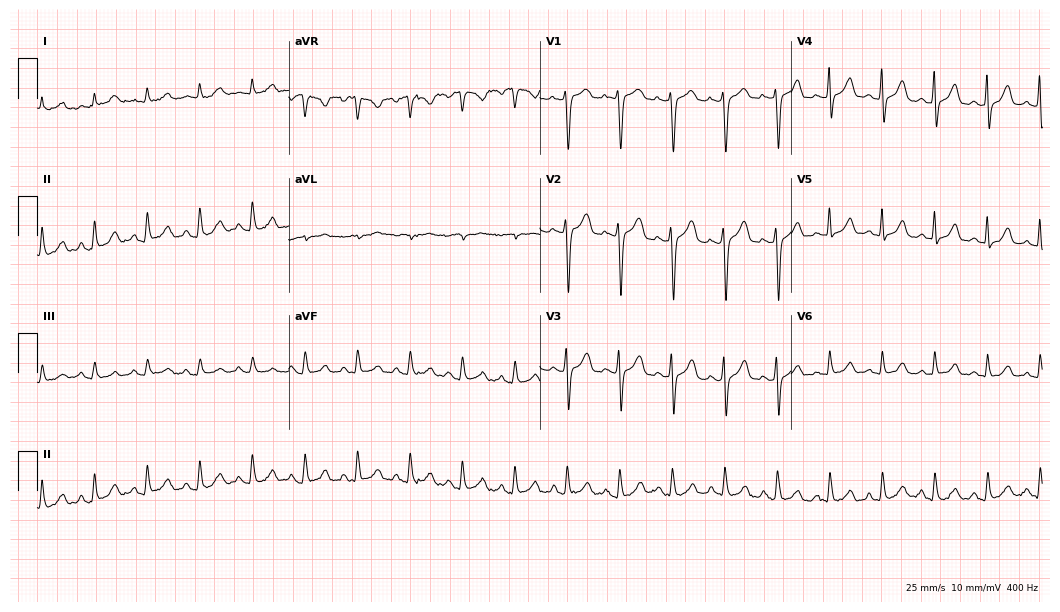
Electrocardiogram, a woman, 41 years old. Interpretation includes sinus tachycardia (a sinus rate of 100 beats per minute or more).